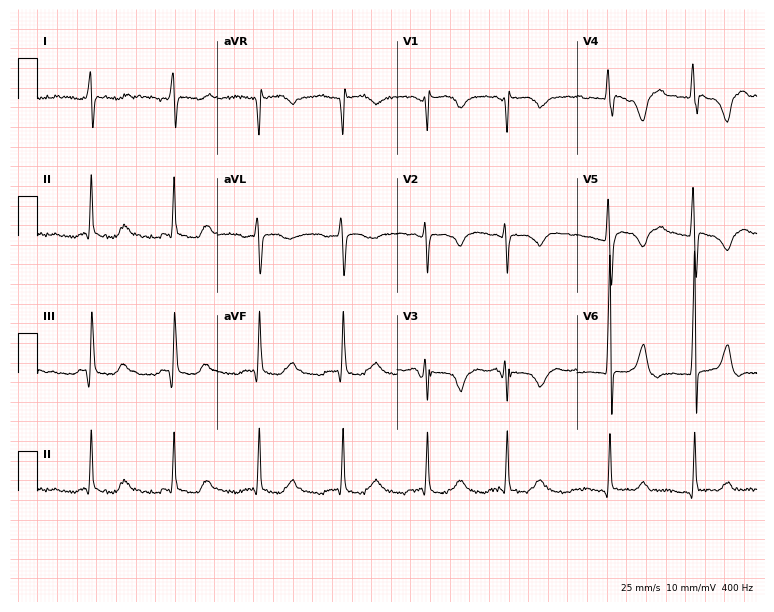
12-lead ECG from a 30-year-old female. No first-degree AV block, right bundle branch block (RBBB), left bundle branch block (LBBB), sinus bradycardia, atrial fibrillation (AF) or sinus tachycardia recorded for this tracing. Findings outside these six are not listed.